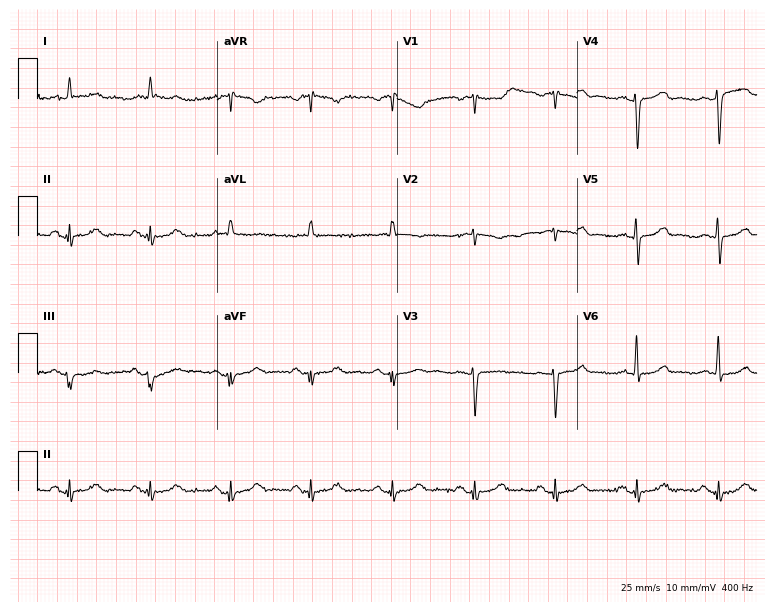
ECG (7.3-second recording at 400 Hz) — a female patient, 75 years old. Screened for six findings — first-degree AV block, right bundle branch block, left bundle branch block, sinus bradycardia, atrial fibrillation, sinus tachycardia — none is recorded.